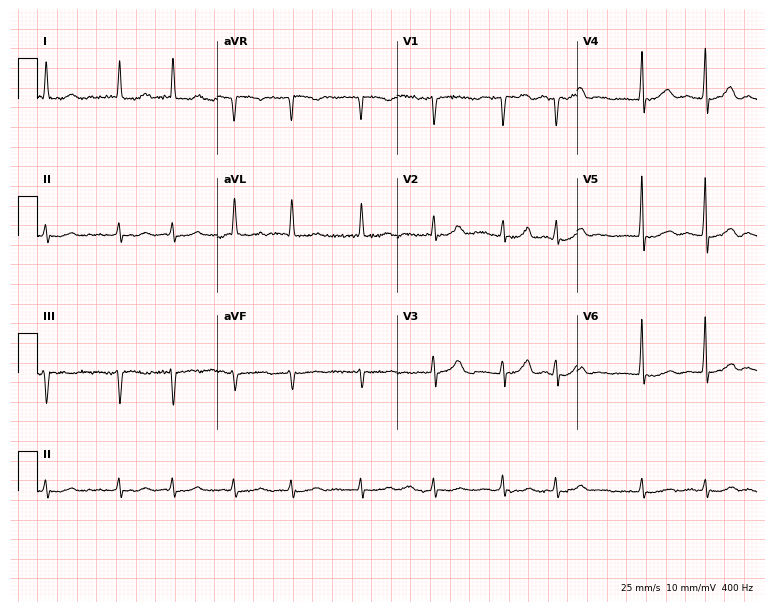
12-lead ECG (7.3-second recording at 400 Hz) from an 84-year-old female. Findings include atrial fibrillation.